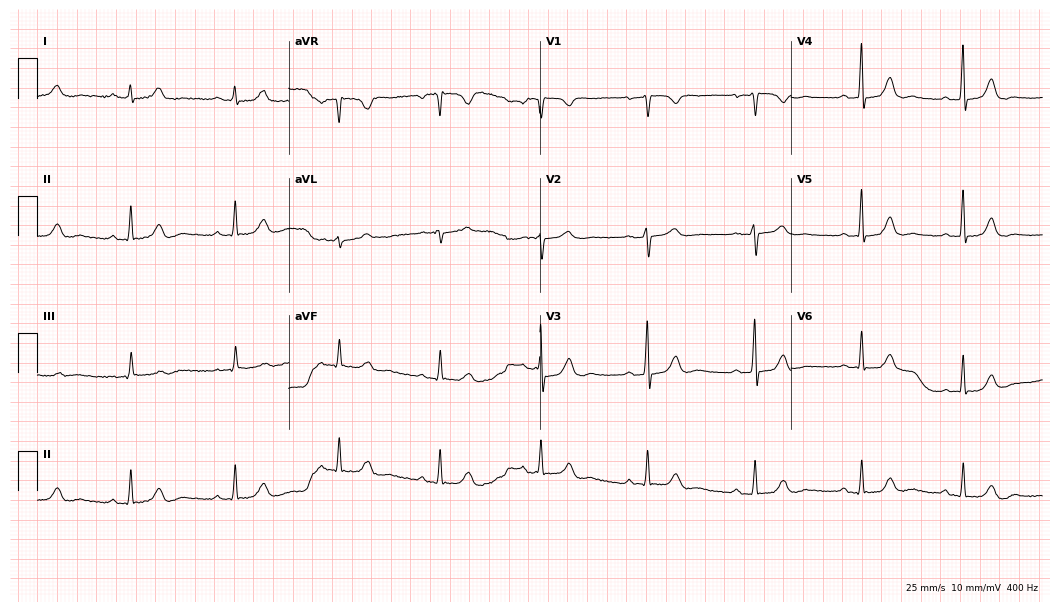
12-lead ECG from a 51-year-old female. Recorded interpretation: within normal limits.